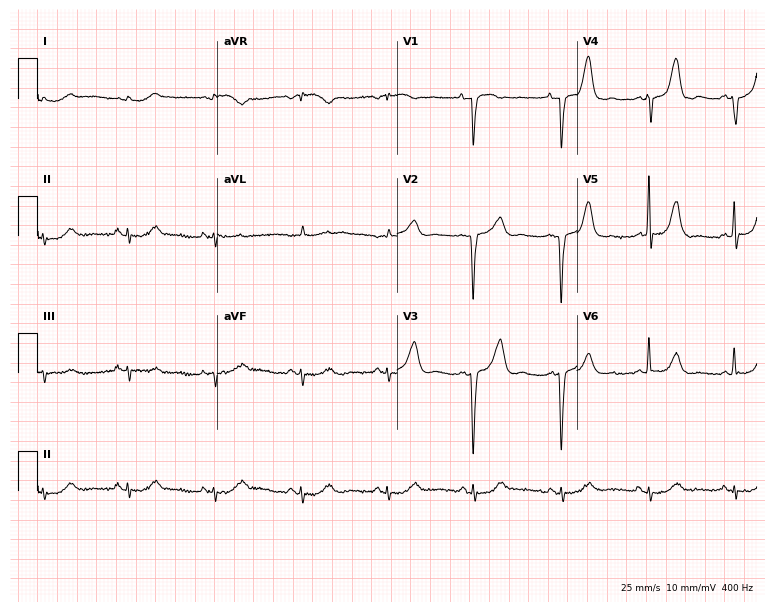
Standard 12-lead ECG recorded from an 81-year-old female (7.3-second recording at 400 Hz). Read as a normal ECG.